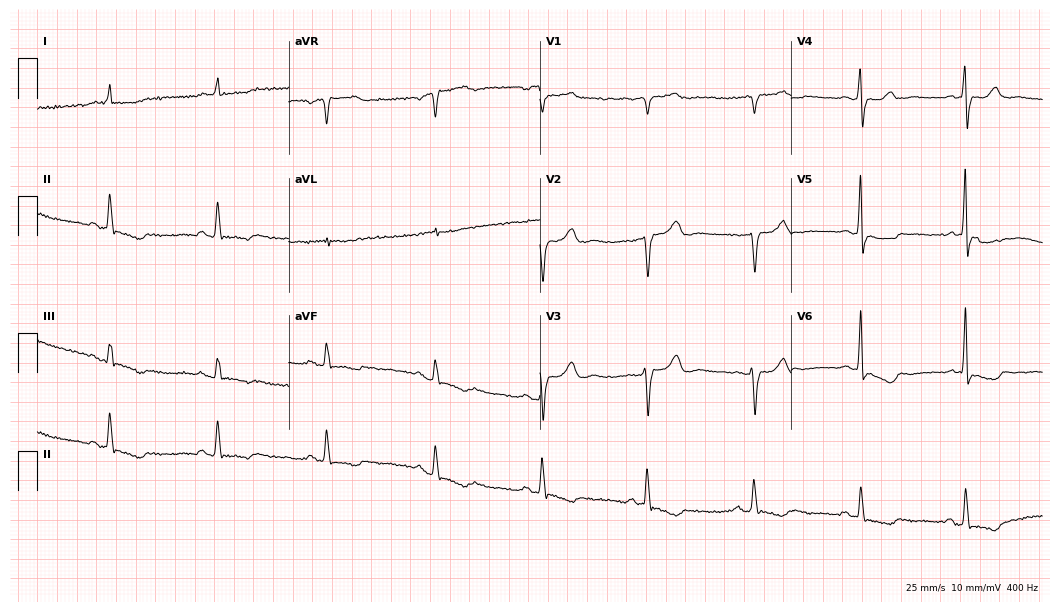
Standard 12-lead ECG recorded from a man, 85 years old. None of these six findings is recorded: first-degree AV block, right bundle branch block, left bundle branch block, sinus bradycardia, atrial fibrillation, sinus tachycardia. Findings outside these six are not listed.